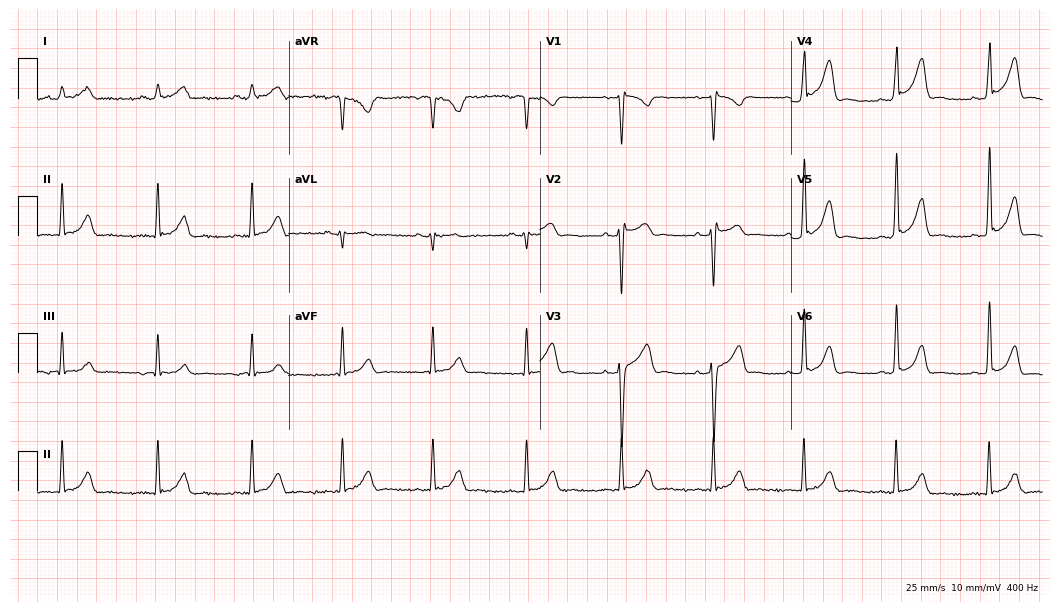
ECG — a 41-year-old man. Labelled as a normal ECG.